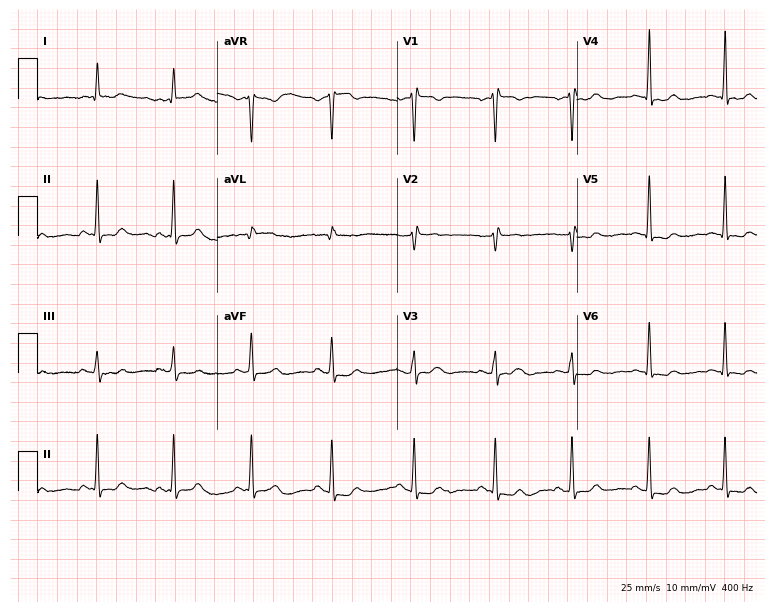
12-lead ECG from a female patient, 48 years old. Screened for six findings — first-degree AV block, right bundle branch block (RBBB), left bundle branch block (LBBB), sinus bradycardia, atrial fibrillation (AF), sinus tachycardia — none is recorded.